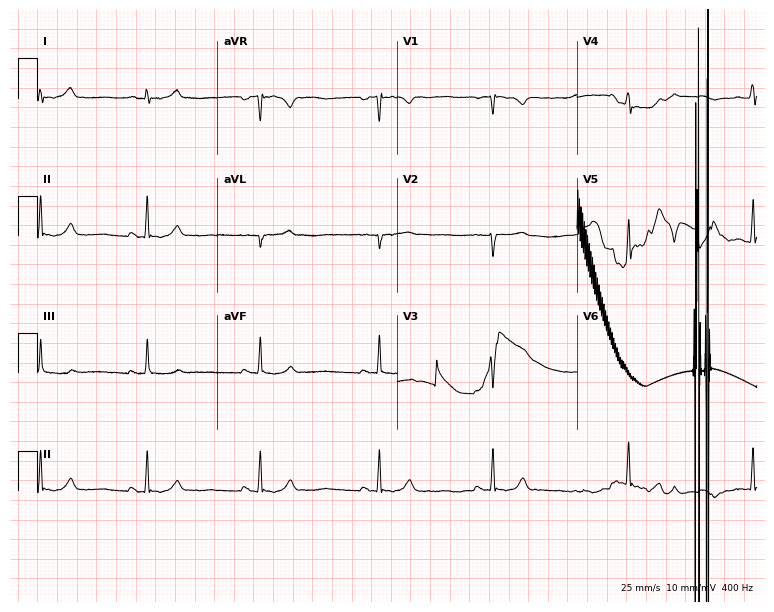
Resting 12-lead electrocardiogram (7.3-second recording at 400 Hz). Patient: a woman, 29 years old. None of these six findings is recorded: first-degree AV block, right bundle branch block, left bundle branch block, sinus bradycardia, atrial fibrillation, sinus tachycardia. Only these six findings were labelled.